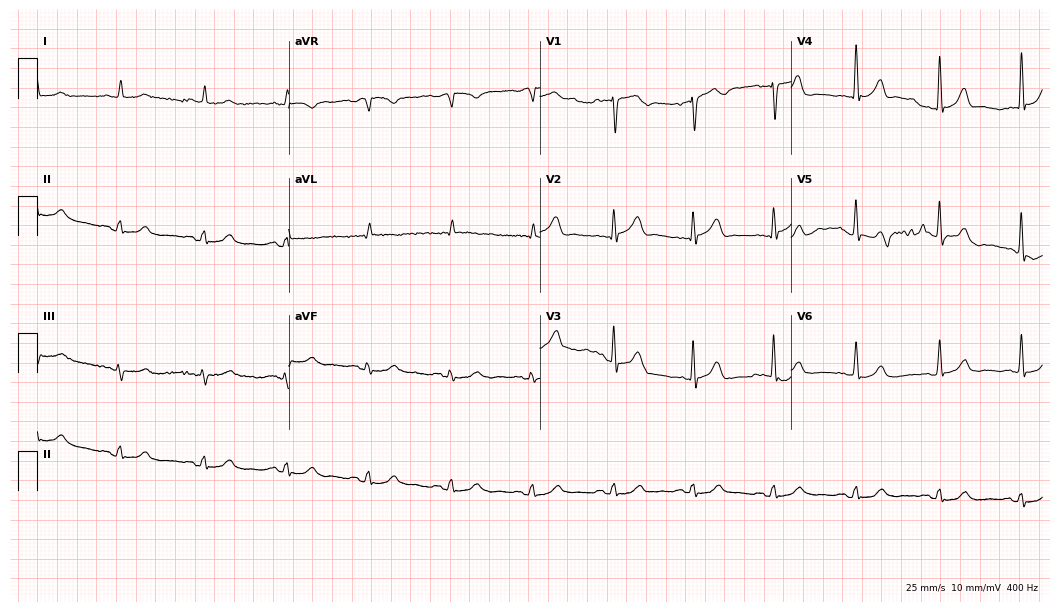
12-lead ECG from an 84-year-old male patient (10.2-second recording at 400 Hz). Recorded interpretation: within normal limits.